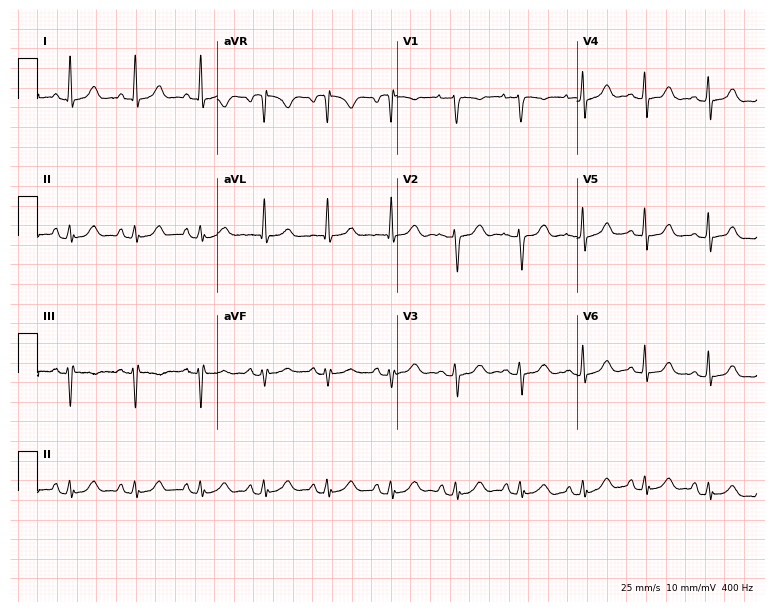
Standard 12-lead ECG recorded from a female patient, 54 years old. Read as a normal ECG.